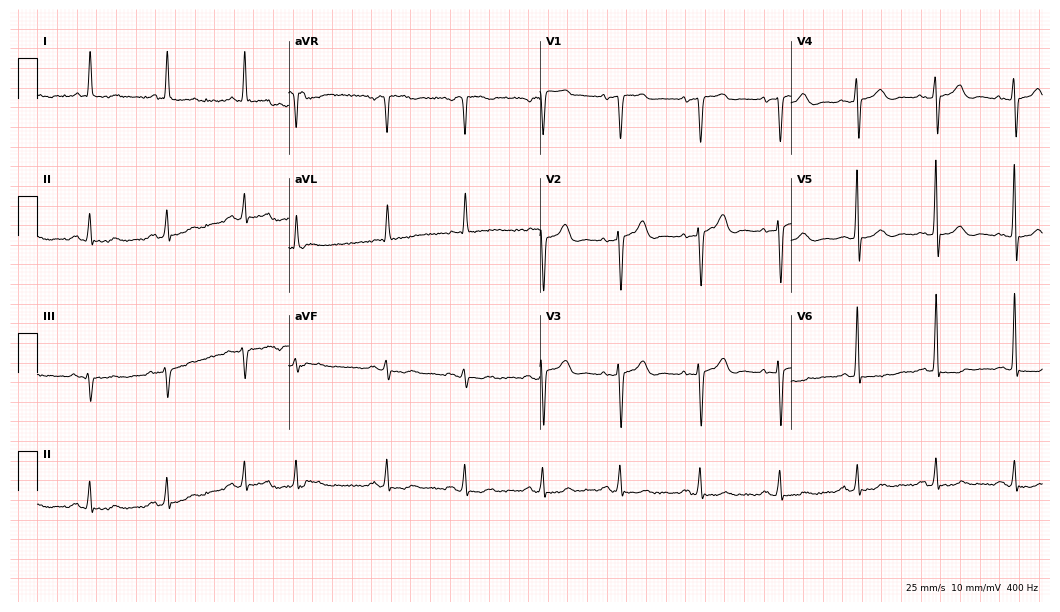
12-lead ECG from an 84-year-old male. No first-degree AV block, right bundle branch block (RBBB), left bundle branch block (LBBB), sinus bradycardia, atrial fibrillation (AF) or sinus tachycardia recorded for this tracing.